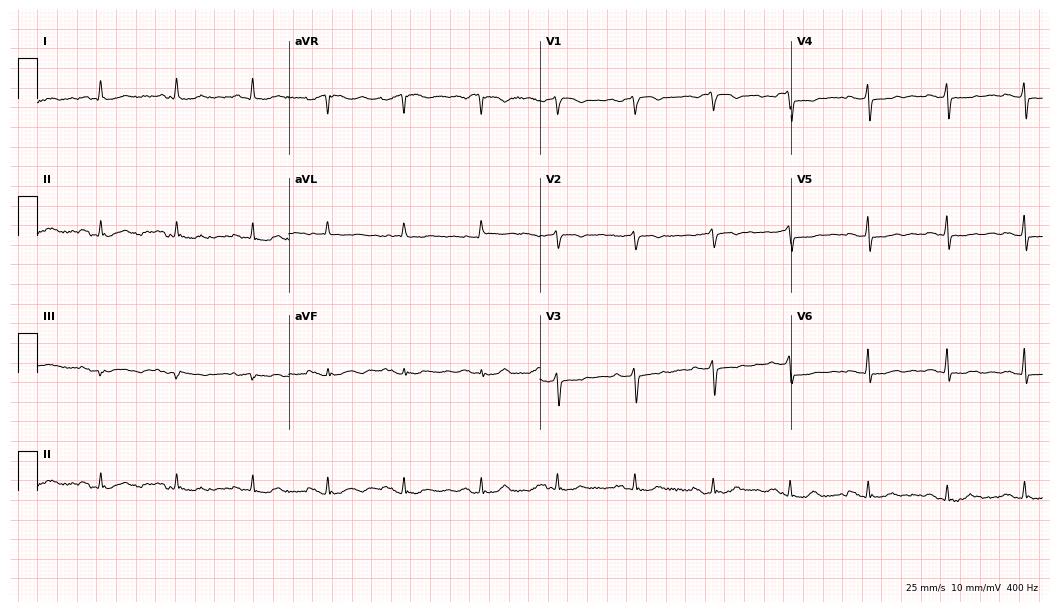
Electrocardiogram (10.2-second recording at 400 Hz), a female, 82 years old. Of the six screened findings (first-degree AV block, right bundle branch block (RBBB), left bundle branch block (LBBB), sinus bradycardia, atrial fibrillation (AF), sinus tachycardia), none is recorded.